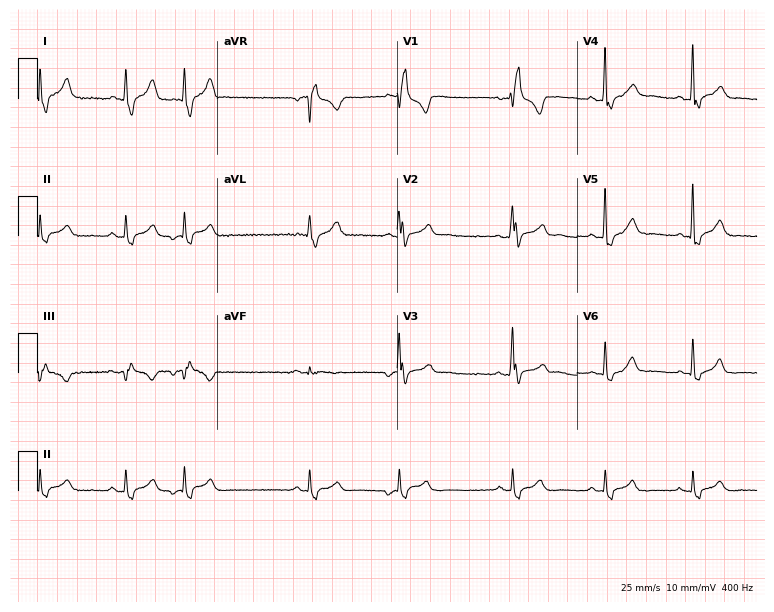
Electrocardiogram, a 43-year-old male. Interpretation includes right bundle branch block (RBBB).